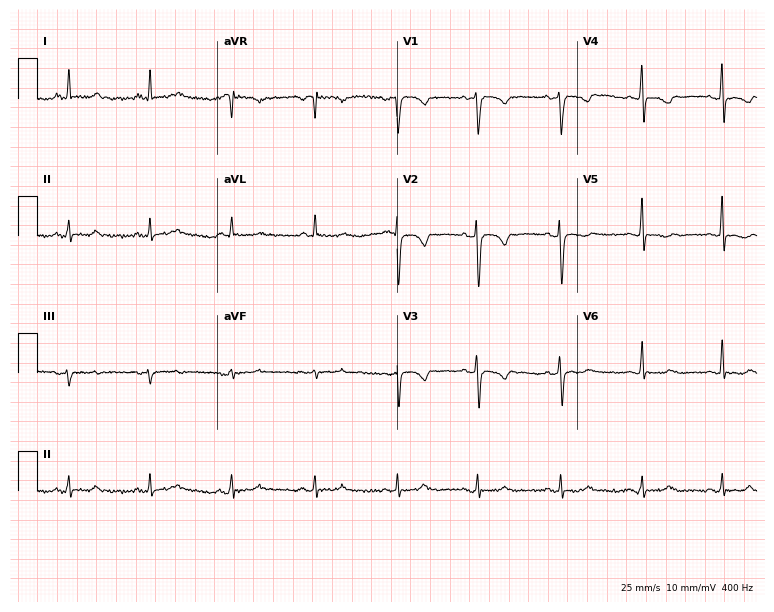
12-lead ECG (7.3-second recording at 400 Hz) from a 46-year-old woman. Labelled as a normal ECG.